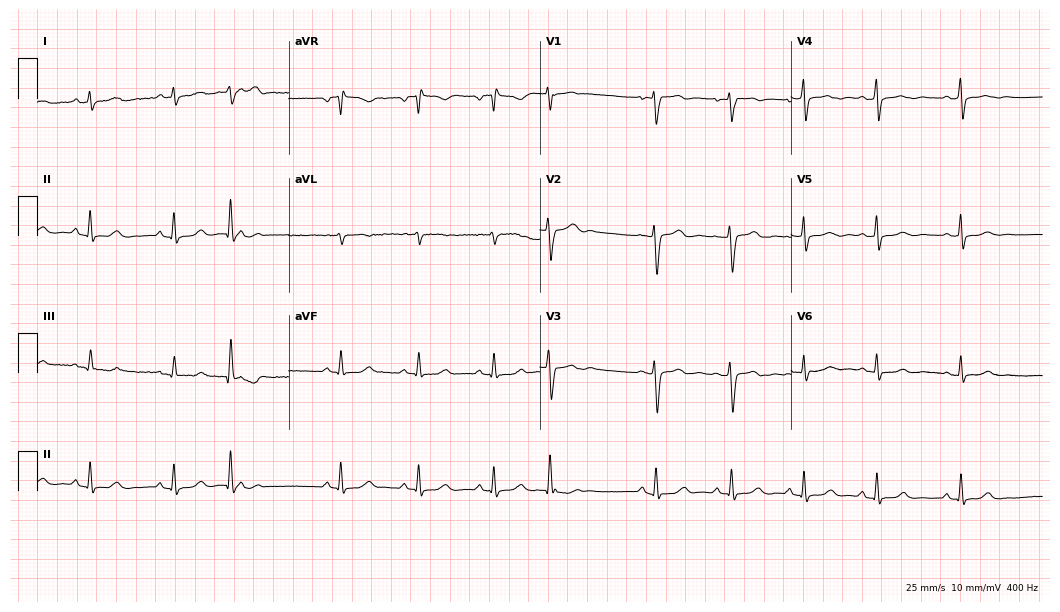
12-lead ECG from a female, 34 years old (10.2-second recording at 400 Hz). No first-degree AV block, right bundle branch block, left bundle branch block, sinus bradycardia, atrial fibrillation or sinus tachycardia recorded for this tracing. Findings outside these six are not listed.